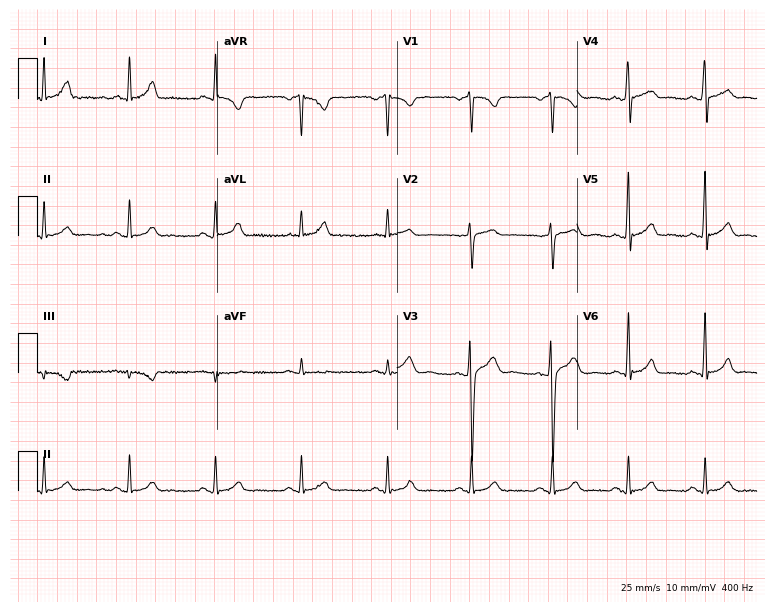
Electrocardiogram (7.3-second recording at 400 Hz), a 33-year-old female patient. Of the six screened findings (first-degree AV block, right bundle branch block, left bundle branch block, sinus bradycardia, atrial fibrillation, sinus tachycardia), none is recorded.